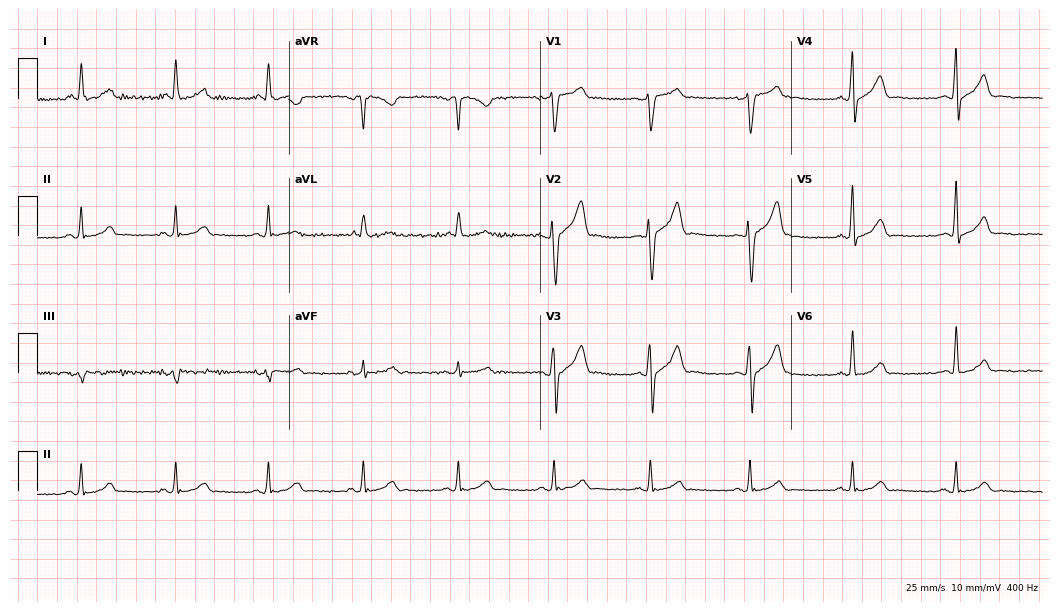
Electrocardiogram, a male patient, 38 years old. Overall reading on record: normal ECG.